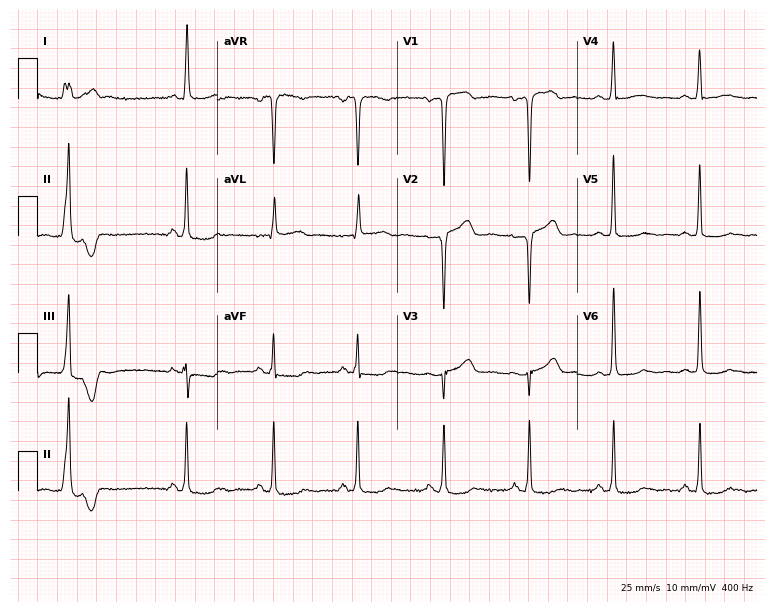
12-lead ECG from a 56-year-old female patient (7.3-second recording at 400 Hz). No first-degree AV block, right bundle branch block, left bundle branch block, sinus bradycardia, atrial fibrillation or sinus tachycardia recorded for this tracing.